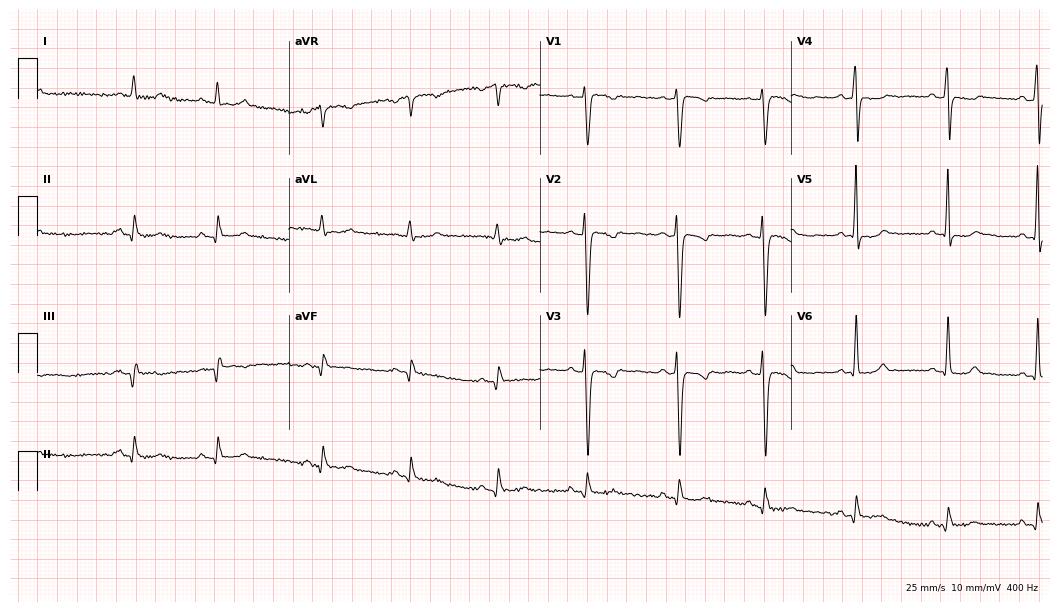
ECG — a 65-year-old male patient. Screened for six findings — first-degree AV block, right bundle branch block, left bundle branch block, sinus bradycardia, atrial fibrillation, sinus tachycardia — none is recorded.